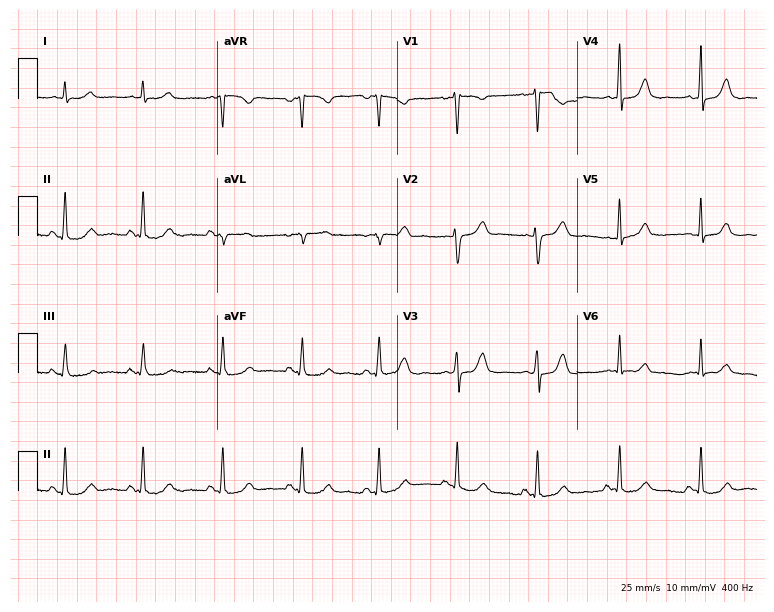
12-lead ECG (7.3-second recording at 400 Hz) from a female patient, 50 years old. Screened for six findings — first-degree AV block, right bundle branch block, left bundle branch block, sinus bradycardia, atrial fibrillation, sinus tachycardia — none is recorded. Only these six findings were labelled.